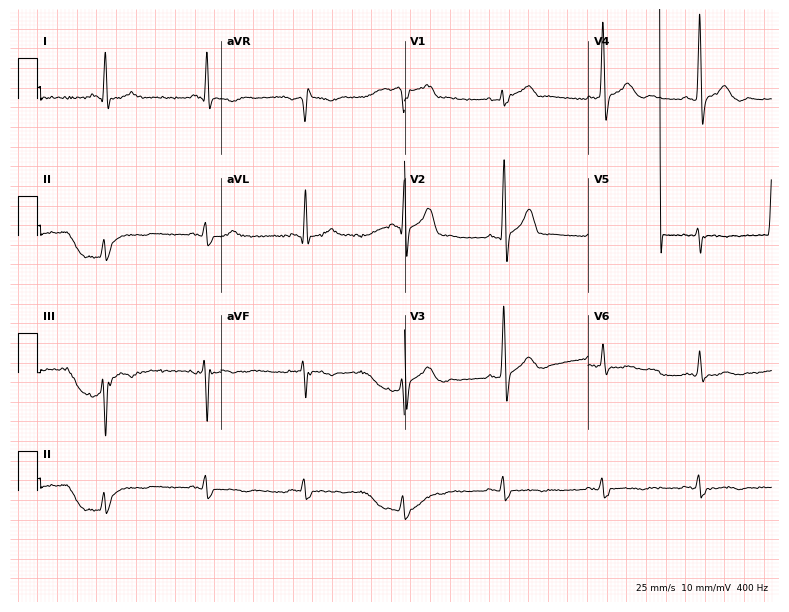
ECG (7.5-second recording at 400 Hz) — a female, 58 years old. Screened for six findings — first-degree AV block, right bundle branch block (RBBB), left bundle branch block (LBBB), sinus bradycardia, atrial fibrillation (AF), sinus tachycardia — none is recorded. Findings outside these six are not listed.